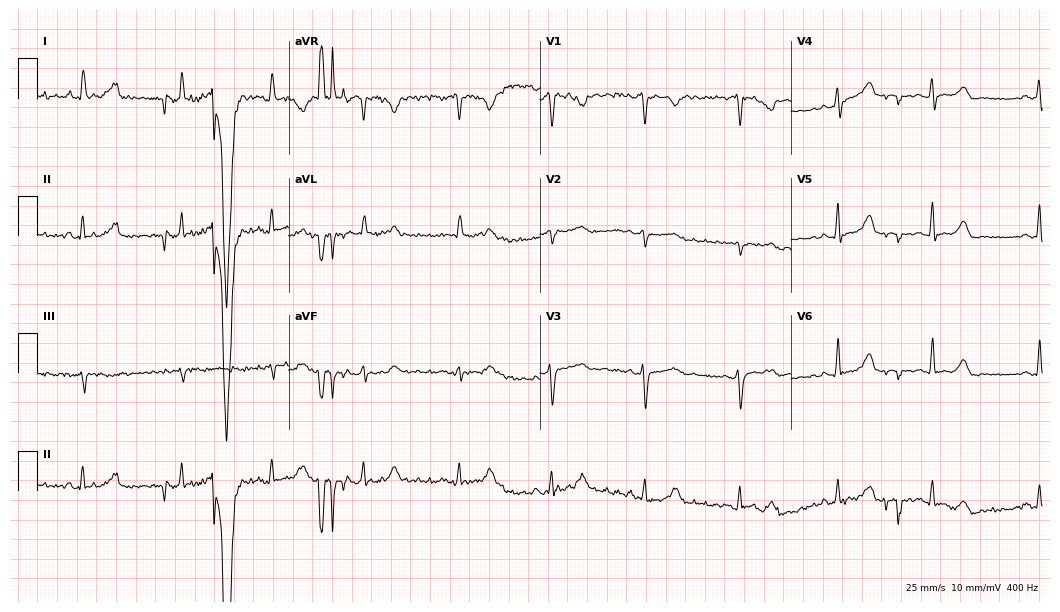
12-lead ECG from a woman, 46 years old (10.2-second recording at 400 Hz). No first-degree AV block, right bundle branch block (RBBB), left bundle branch block (LBBB), sinus bradycardia, atrial fibrillation (AF) or sinus tachycardia recorded for this tracing.